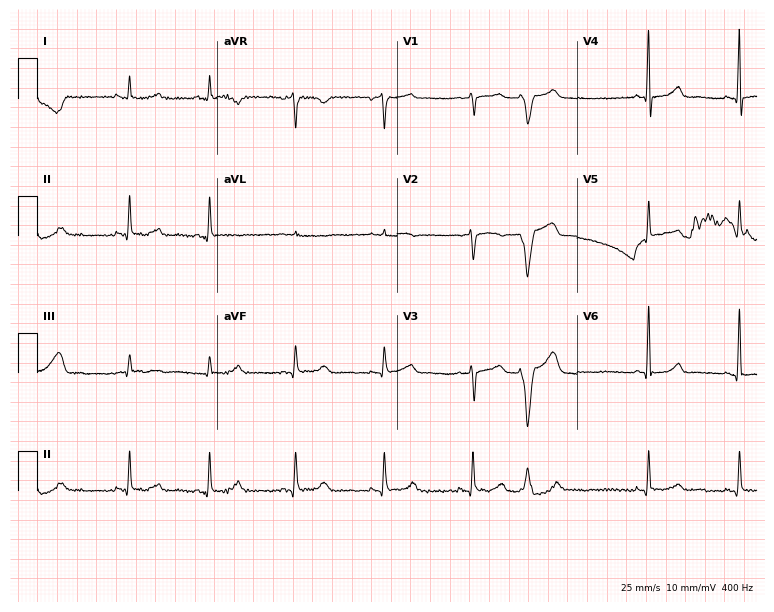
12-lead ECG from a female patient, 66 years old (7.3-second recording at 400 Hz). No first-degree AV block, right bundle branch block, left bundle branch block, sinus bradycardia, atrial fibrillation or sinus tachycardia recorded for this tracing. Findings outside these six are not listed.